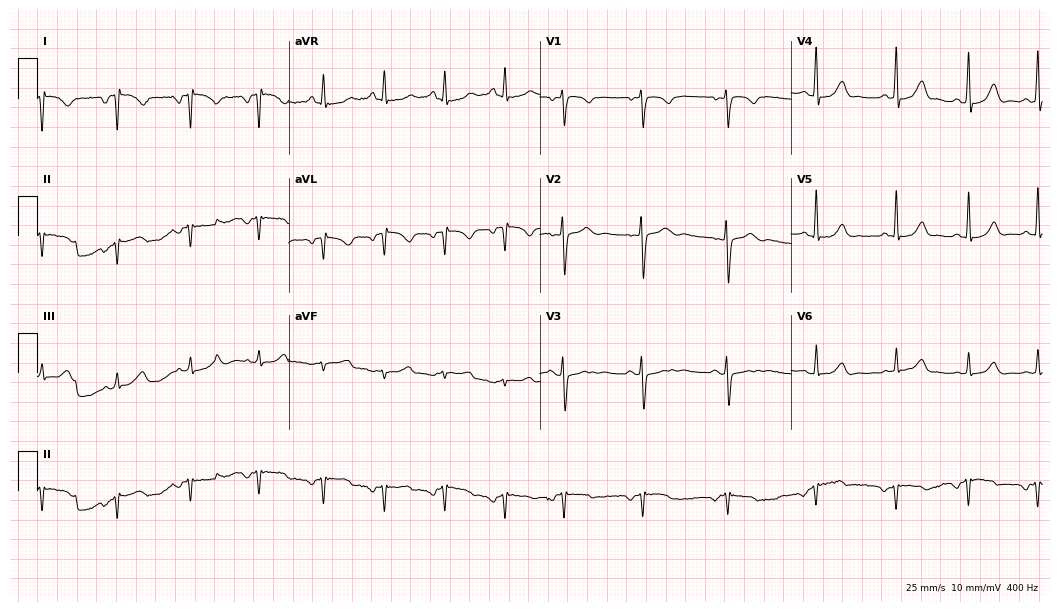
Resting 12-lead electrocardiogram (10.2-second recording at 400 Hz). Patient: a 29-year-old female. None of these six findings is recorded: first-degree AV block, right bundle branch block, left bundle branch block, sinus bradycardia, atrial fibrillation, sinus tachycardia.